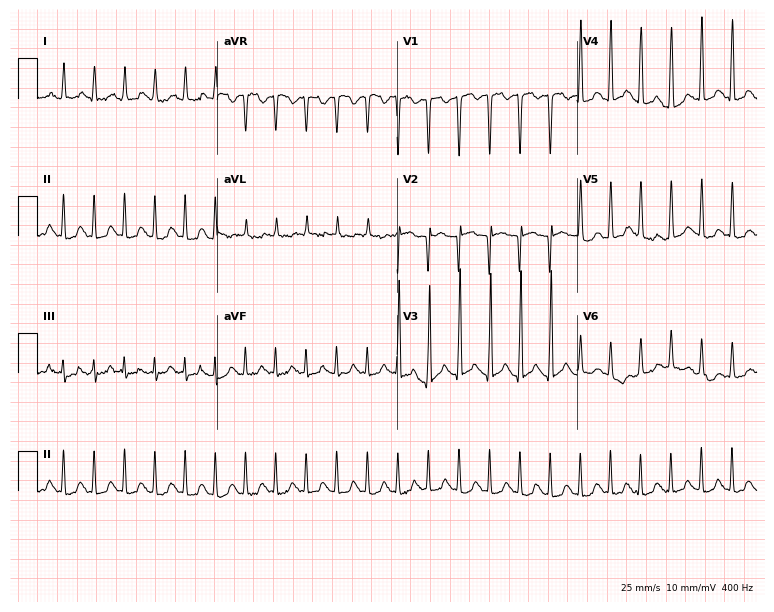
Standard 12-lead ECG recorded from a 77-year-old woman. The tracing shows sinus tachycardia (a sinus rate of 100 beats per minute or more).